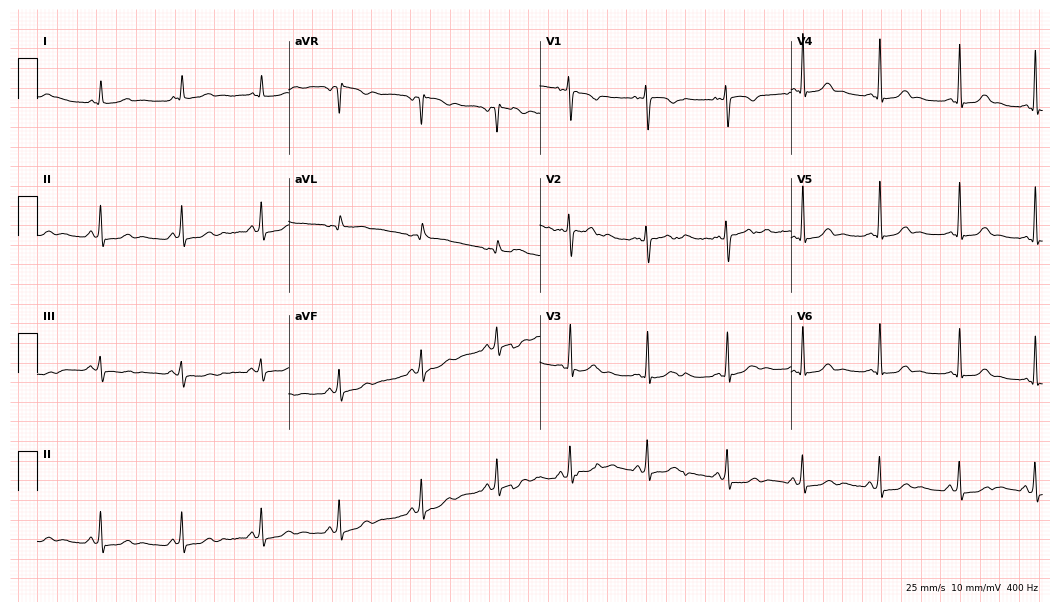
12-lead ECG (10.2-second recording at 400 Hz) from a 20-year-old female patient. Labelled as a normal ECG.